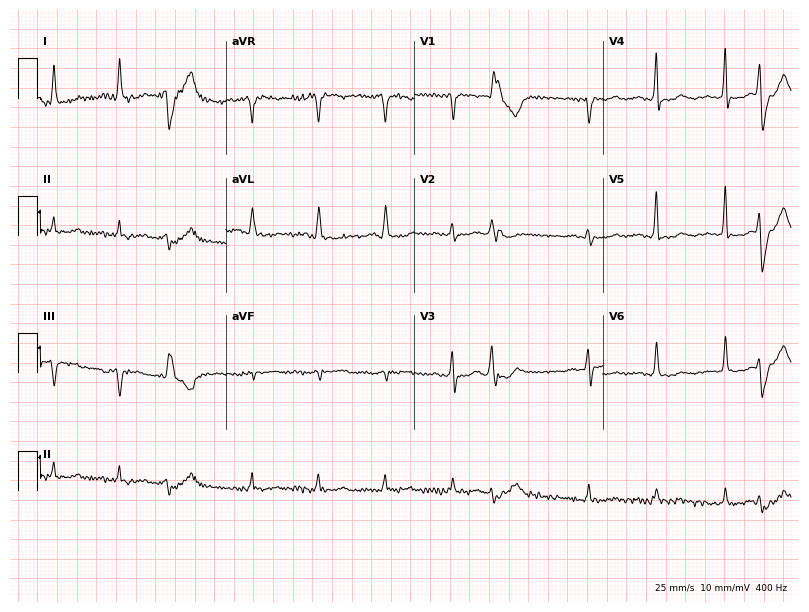
Standard 12-lead ECG recorded from an 82-year-old female patient (7.7-second recording at 400 Hz). None of these six findings is recorded: first-degree AV block, right bundle branch block (RBBB), left bundle branch block (LBBB), sinus bradycardia, atrial fibrillation (AF), sinus tachycardia. Findings outside these six are not listed.